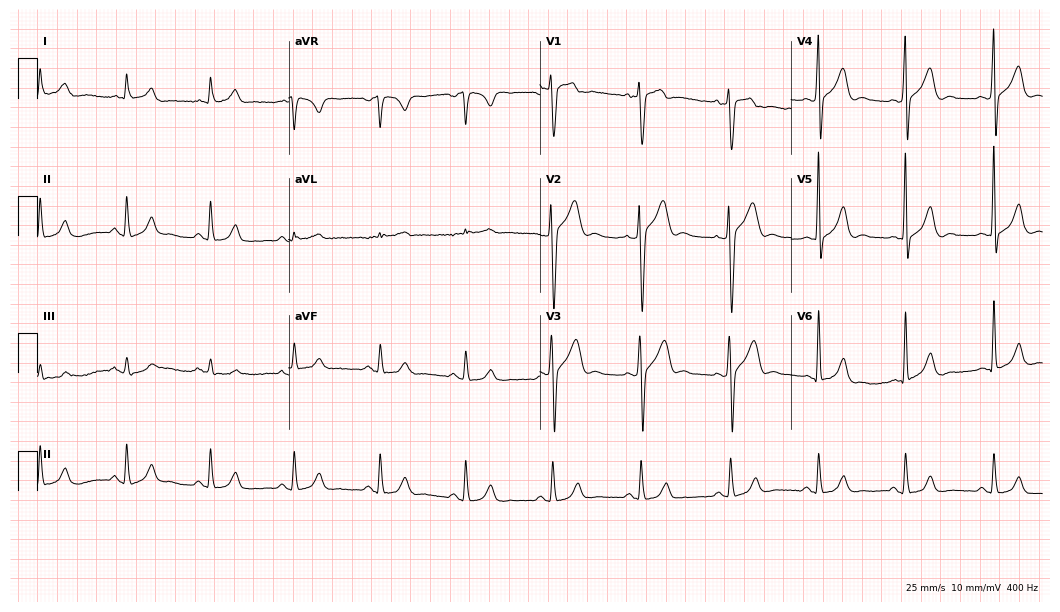
12-lead ECG (10.2-second recording at 400 Hz) from a male patient, 54 years old. Labelled as a normal ECG.